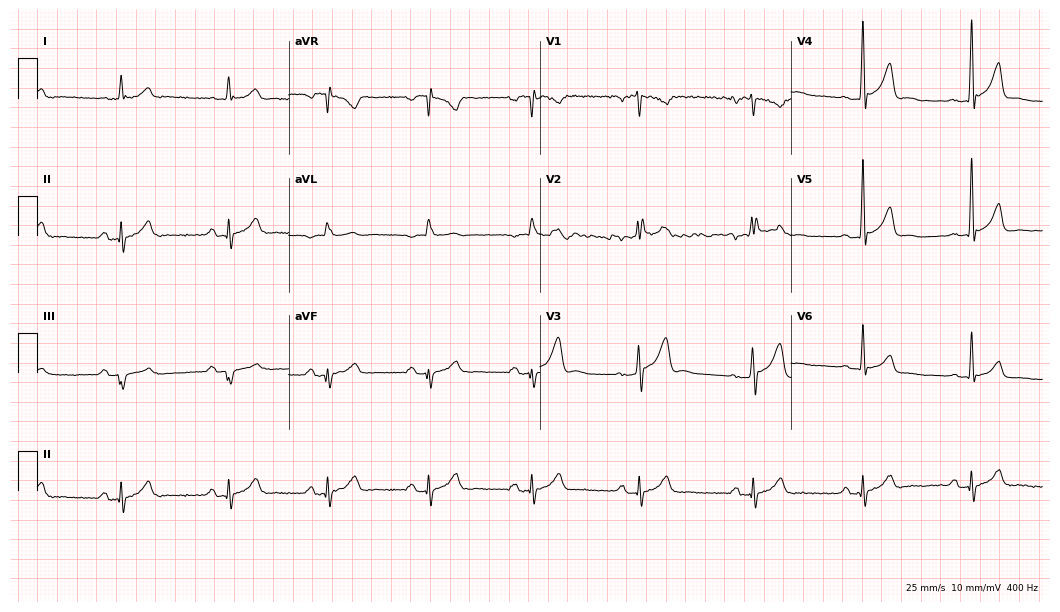
Electrocardiogram, a male patient, 40 years old. Of the six screened findings (first-degree AV block, right bundle branch block (RBBB), left bundle branch block (LBBB), sinus bradycardia, atrial fibrillation (AF), sinus tachycardia), none is recorded. Other findings, if any, are not listed.